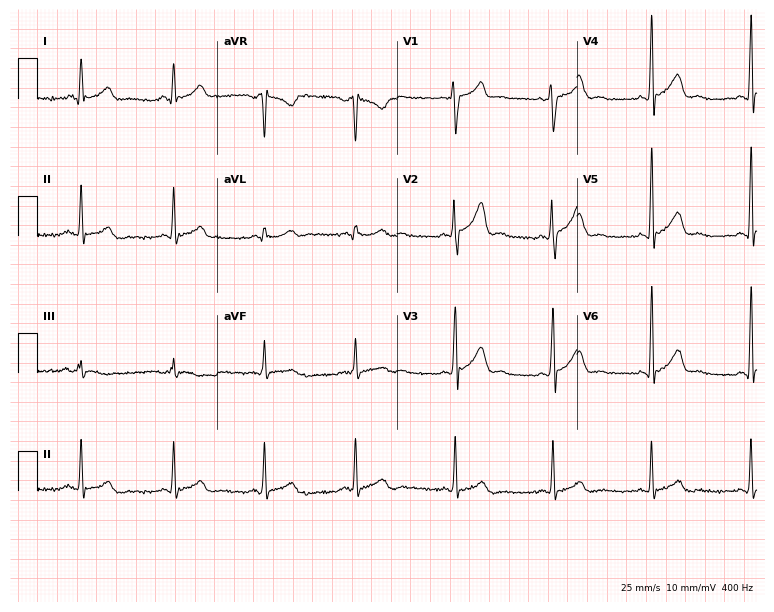
ECG (7.3-second recording at 400 Hz) — a 22-year-old man. Labelled as a normal ECG.